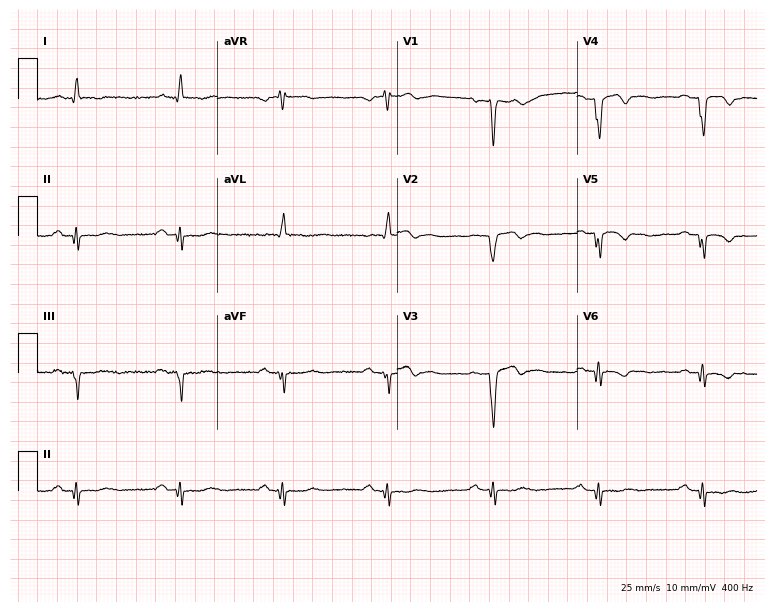
Resting 12-lead electrocardiogram. Patient: a male, 65 years old. None of these six findings is recorded: first-degree AV block, right bundle branch block, left bundle branch block, sinus bradycardia, atrial fibrillation, sinus tachycardia.